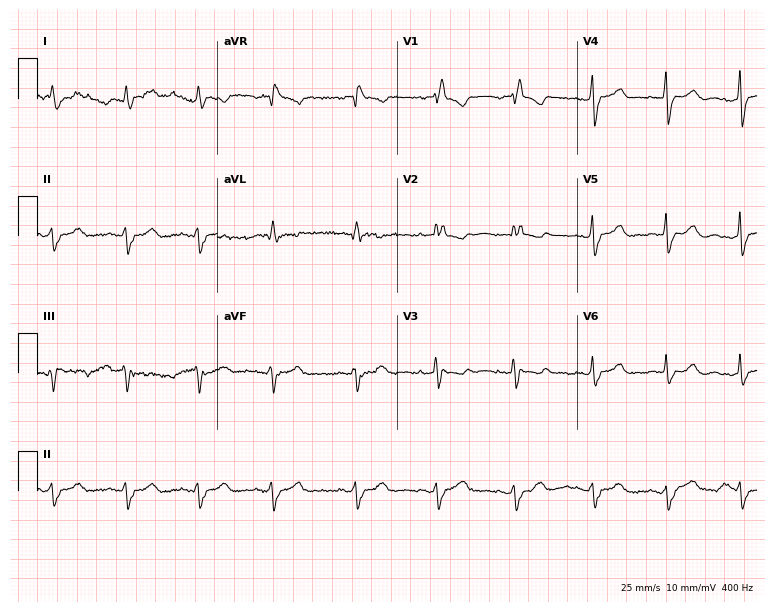
Electrocardiogram, a 48-year-old woman. Of the six screened findings (first-degree AV block, right bundle branch block (RBBB), left bundle branch block (LBBB), sinus bradycardia, atrial fibrillation (AF), sinus tachycardia), none is recorded. Findings outside these six are not listed.